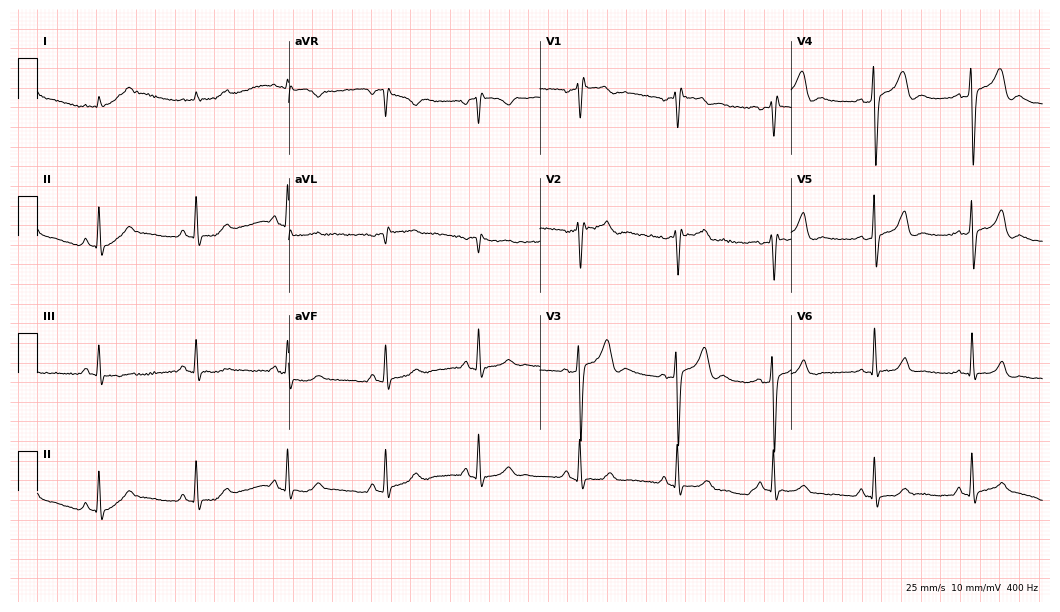
Electrocardiogram, a male patient, 83 years old. Overall reading on record: normal ECG.